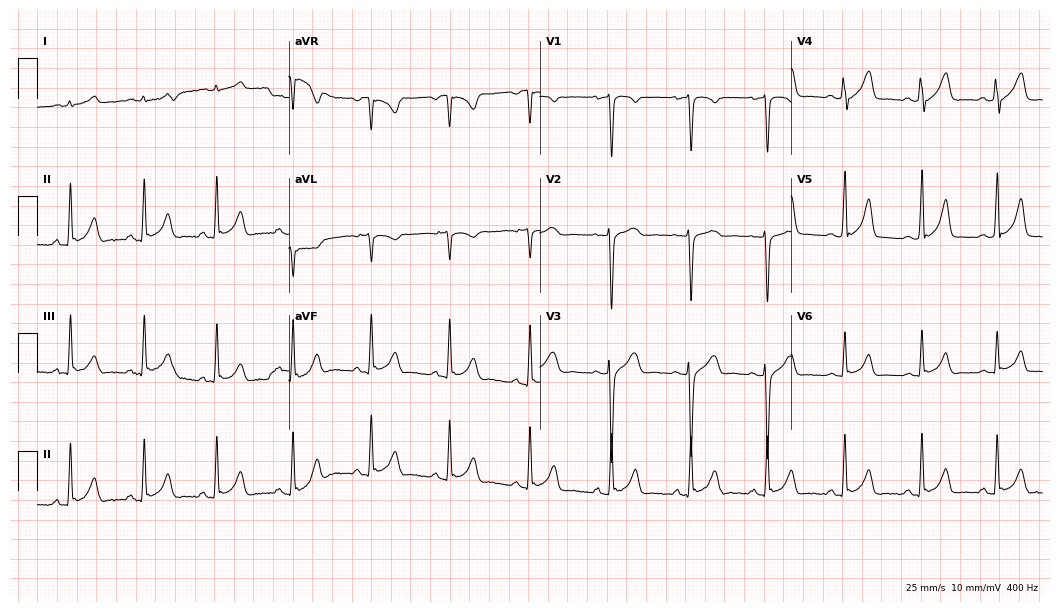
ECG (10.2-second recording at 400 Hz) — a man, 26 years old. Screened for six findings — first-degree AV block, right bundle branch block, left bundle branch block, sinus bradycardia, atrial fibrillation, sinus tachycardia — none is recorded.